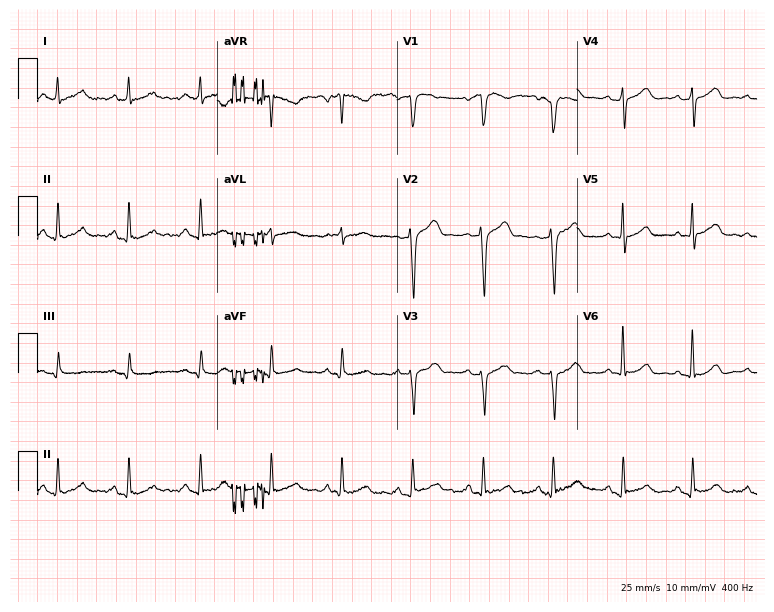
12-lead ECG from a male, 62 years old. Screened for six findings — first-degree AV block, right bundle branch block (RBBB), left bundle branch block (LBBB), sinus bradycardia, atrial fibrillation (AF), sinus tachycardia — none is recorded. Other findings, if any, are not listed.